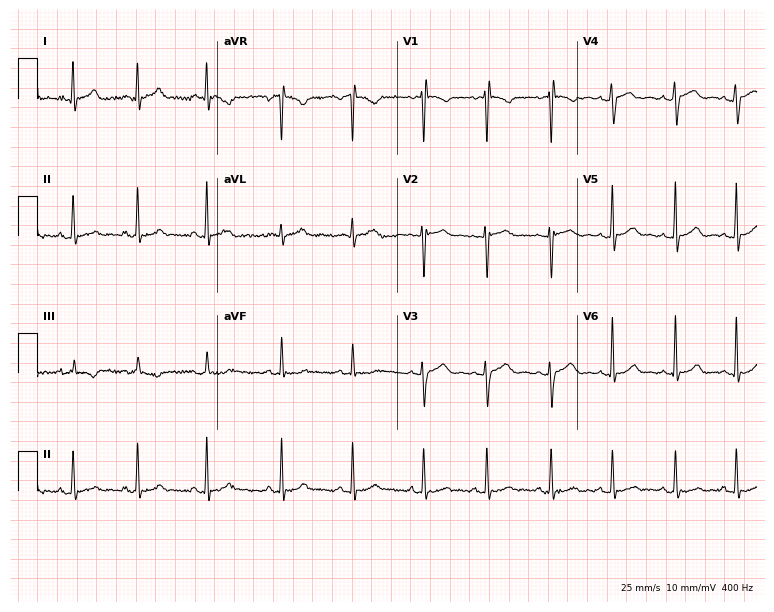
12-lead ECG (7.3-second recording at 400 Hz) from a 19-year-old female. Labelled as a normal ECG.